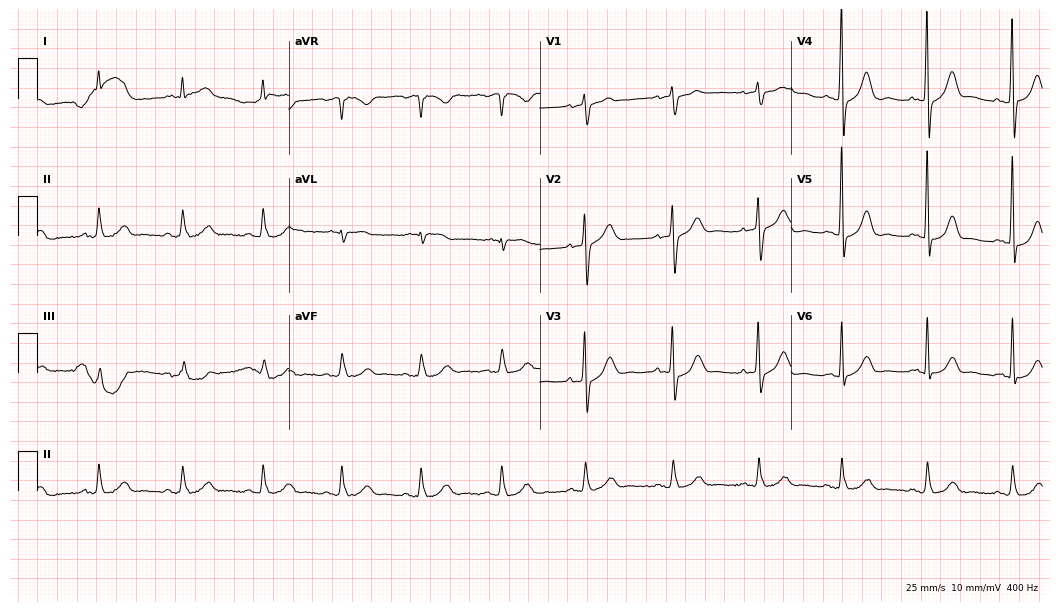
Standard 12-lead ECG recorded from a 63-year-old woman (10.2-second recording at 400 Hz). Read as a normal ECG.